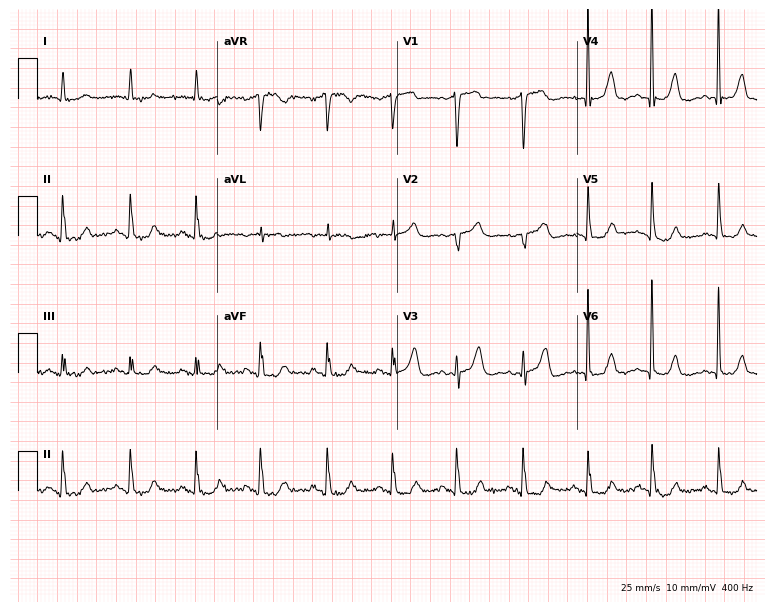
ECG (7.3-second recording at 400 Hz) — a female patient, 81 years old. Labelled as a normal ECG.